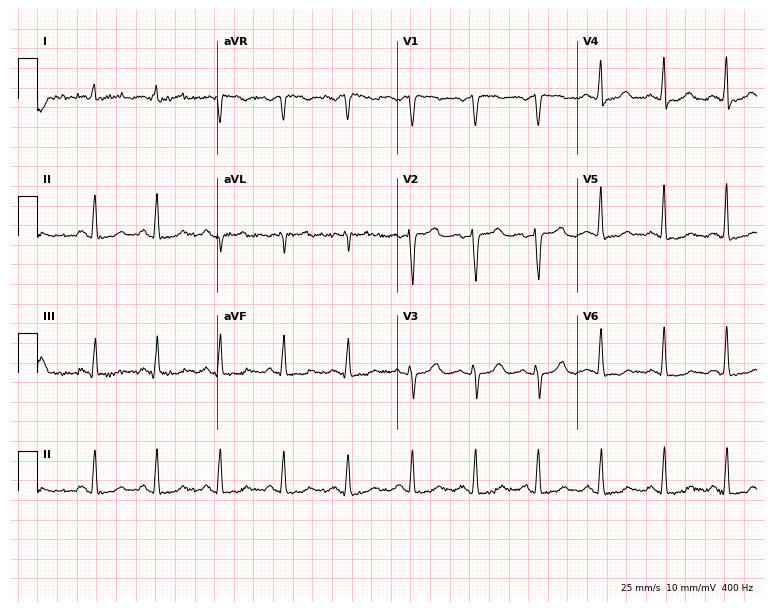
12-lead ECG from a 59-year-old female patient (7.3-second recording at 400 Hz). Recorded interpretation: within normal limits.